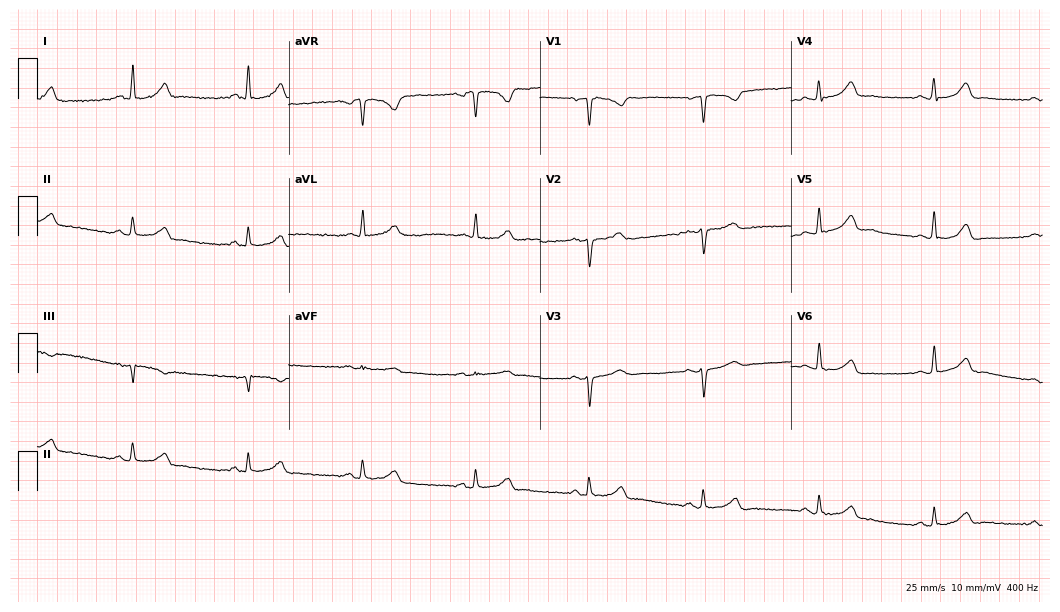
Resting 12-lead electrocardiogram (10.2-second recording at 400 Hz). Patient: a 37-year-old female. None of these six findings is recorded: first-degree AV block, right bundle branch block, left bundle branch block, sinus bradycardia, atrial fibrillation, sinus tachycardia.